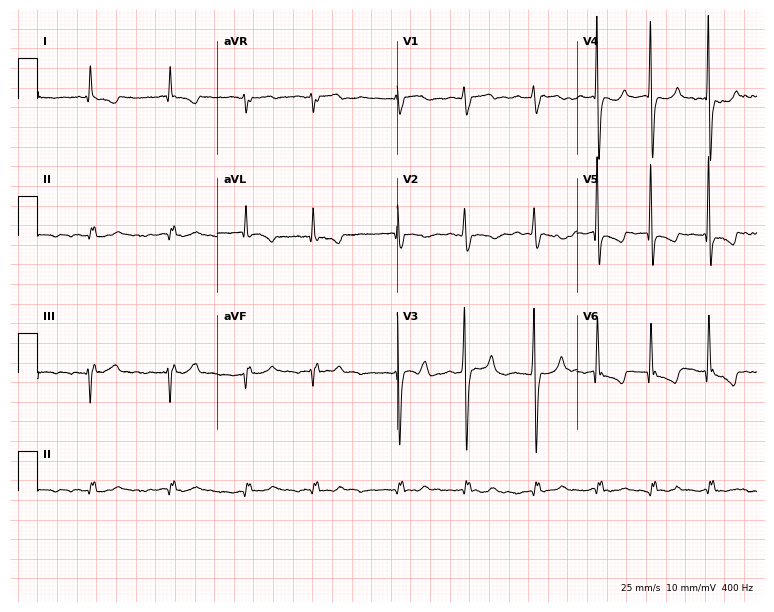
Resting 12-lead electrocardiogram. Patient: a male, 75 years old. The tracing shows atrial fibrillation.